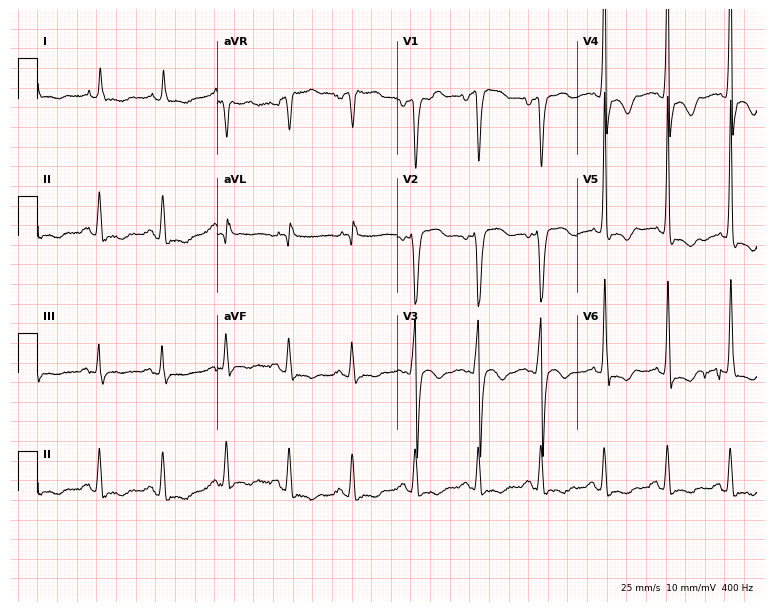
ECG — a woman, 72 years old. Screened for six findings — first-degree AV block, right bundle branch block (RBBB), left bundle branch block (LBBB), sinus bradycardia, atrial fibrillation (AF), sinus tachycardia — none is recorded. Findings outside these six are not listed.